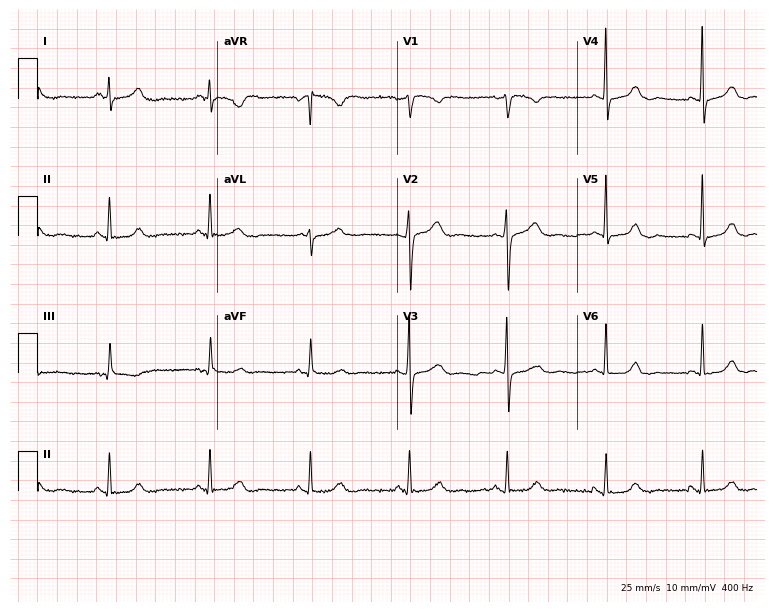
Resting 12-lead electrocardiogram. Patient: a 50-year-old female. Read as a normal ECG.